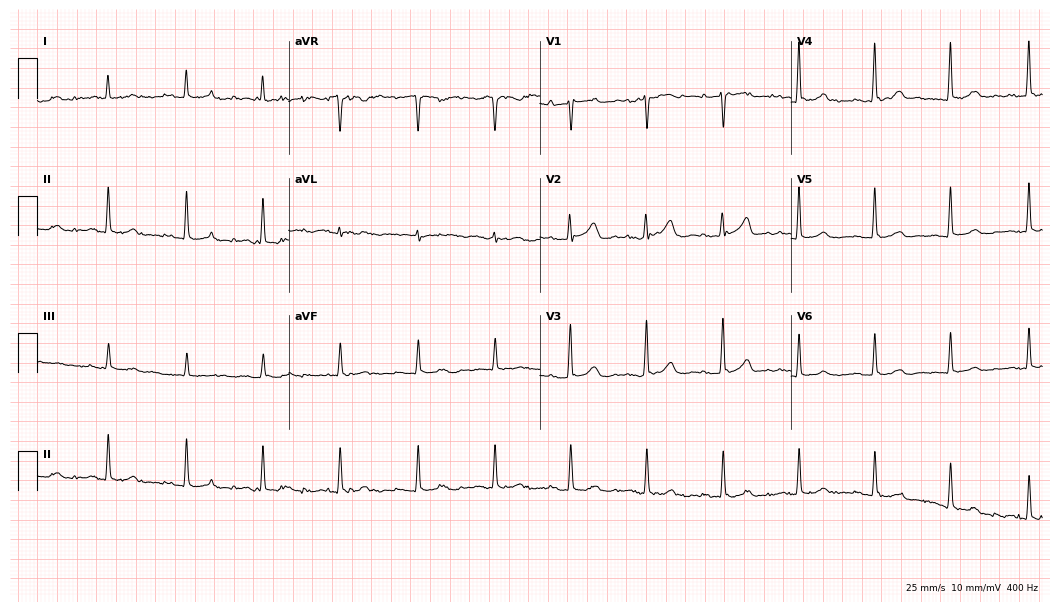
Resting 12-lead electrocardiogram (10.2-second recording at 400 Hz). Patient: an 81-year-old female. Read as a normal ECG.